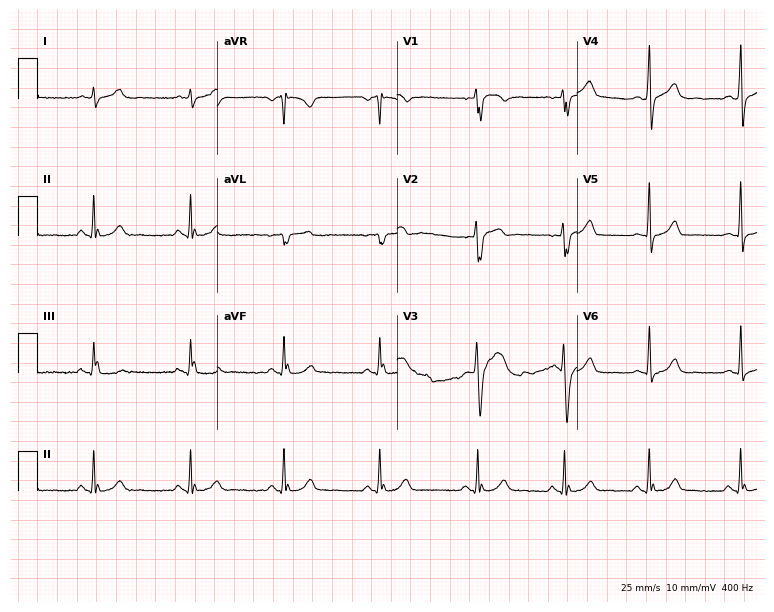
ECG (7.3-second recording at 400 Hz) — a male, 23 years old. Screened for six findings — first-degree AV block, right bundle branch block, left bundle branch block, sinus bradycardia, atrial fibrillation, sinus tachycardia — none is recorded.